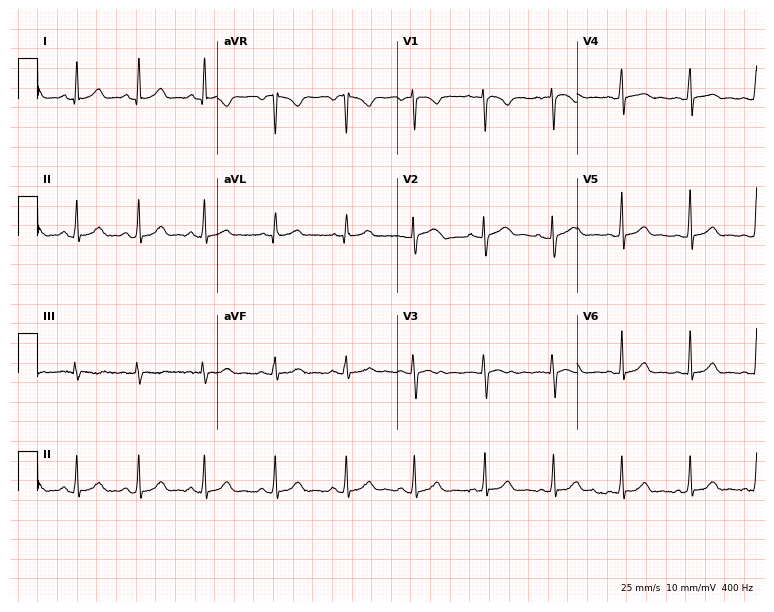
12-lead ECG from a female, 17 years old. Labelled as a normal ECG.